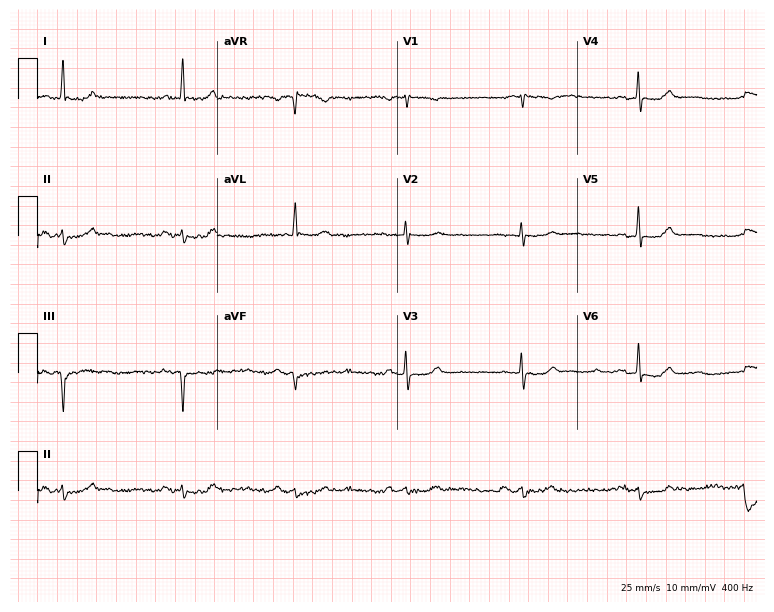
12-lead ECG from a 74-year-old female patient (7.3-second recording at 400 Hz). No first-degree AV block, right bundle branch block, left bundle branch block, sinus bradycardia, atrial fibrillation or sinus tachycardia recorded for this tracing.